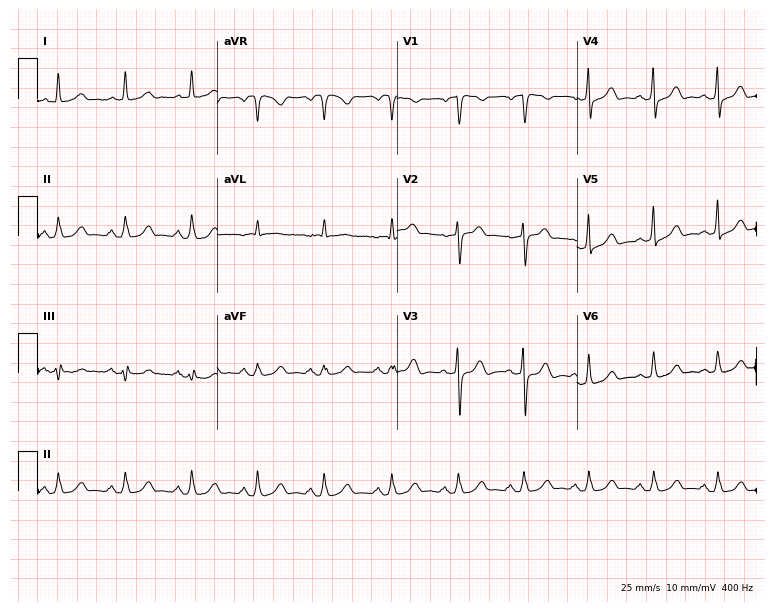
Standard 12-lead ECG recorded from a 65-year-old male patient. None of these six findings is recorded: first-degree AV block, right bundle branch block, left bundle branch block, sinus bradycardia, atrial fibrillation, sinus tachycardia.